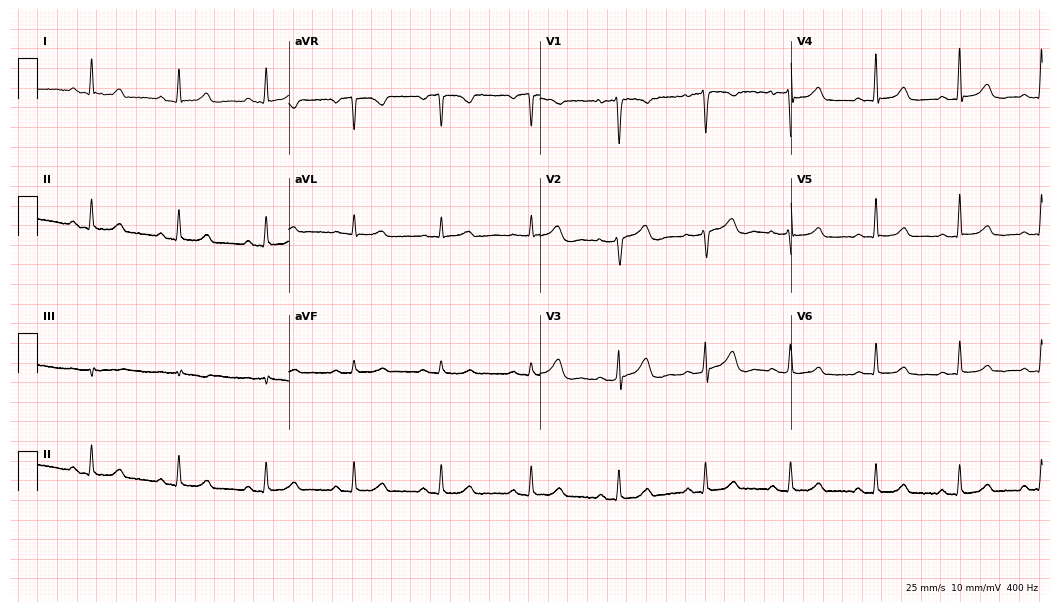
ECG (10.2-second recording at 400 Hz) — a 57-year-old man. Labelled as a normal ECG.